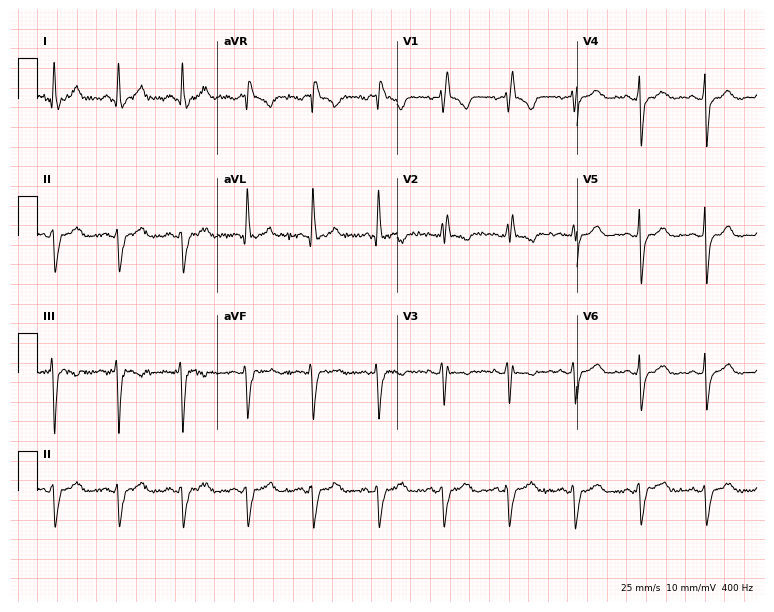
Standard 12-lead ECG recorded from a female, 50 years old. The tracing shows right bundle branch block.